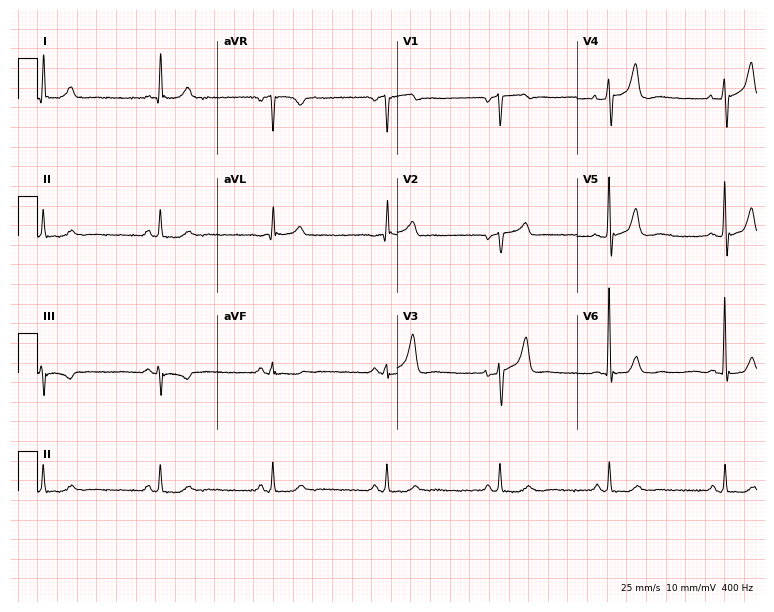
Electrocardiogram (7.3-second recording at 400 Hz), a man, 66 years old. Of the six screened findings (first-degree AV block, right bundle branch block, left bundle branch block, sinus bradycardia, atrial fibrillation, sinus tachycardia), none is recorded. Findings outside these six are not listed.